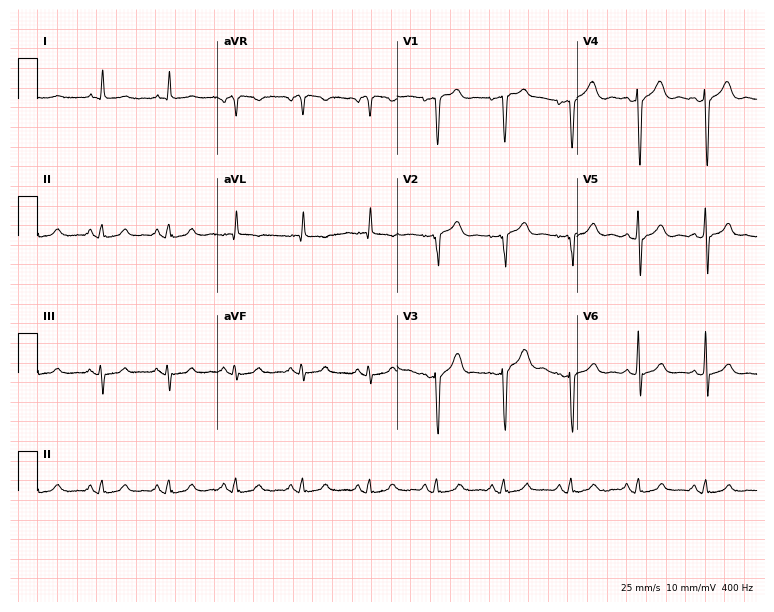
12-lead ECG from a man, 81 years old. Screened for six findings — first-degree AV block, right bundle branch block, left bundle branch block, sinus bradycardia, atrial fibrillation, sinus tachycardia — none is recorded. Only these six findings were labelled.